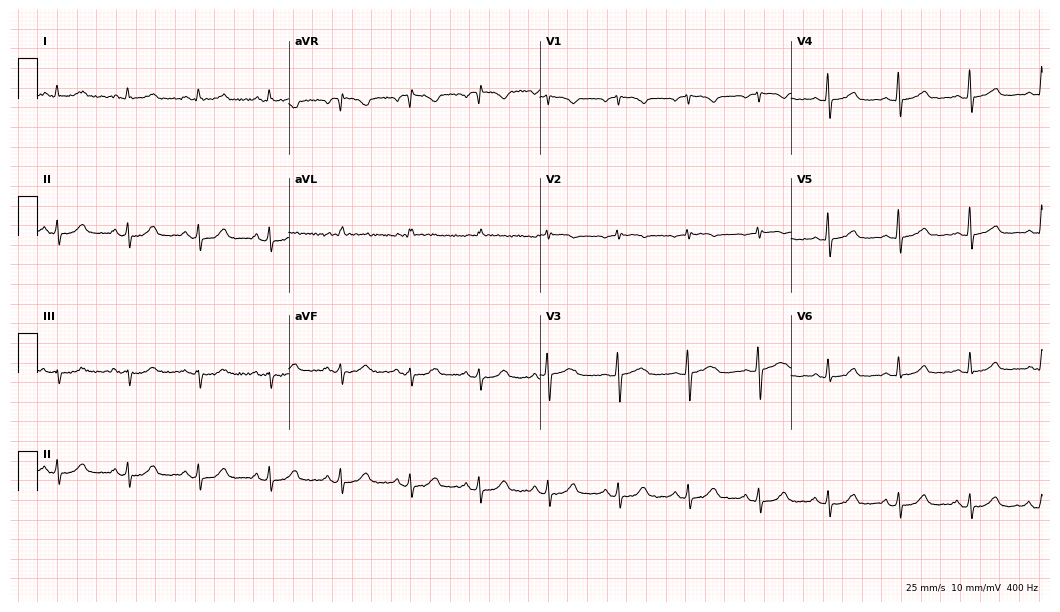
Standard 12-lead ECG recorded from a 55-year-old woman (10.2-second recording at 400 Hz). Read as a normal ECG.